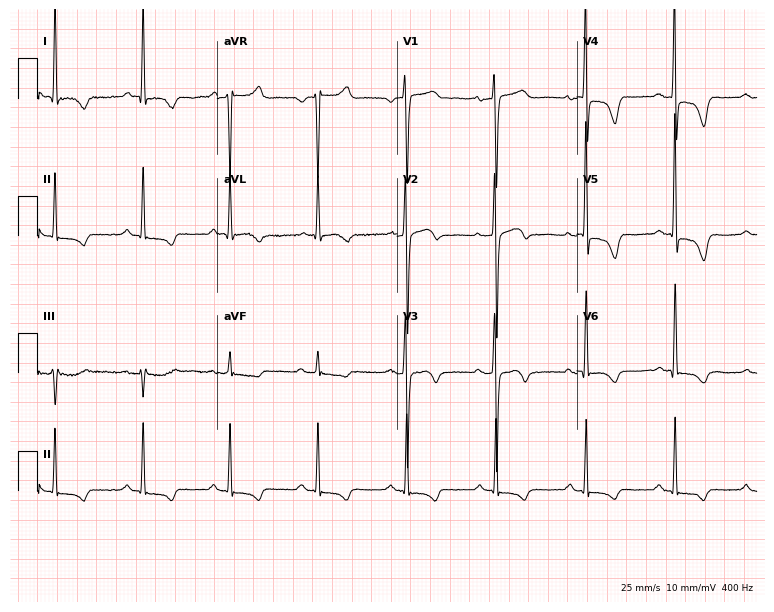
ECG — a 76-year-old female patient. Screened for six findings — first-degree AV block, right bundle branch block (RBBB), left bundle branch block (LBBB), sinus bradycardia, atrial fibrillation (AF), sinus tachycardia — none is recorded.